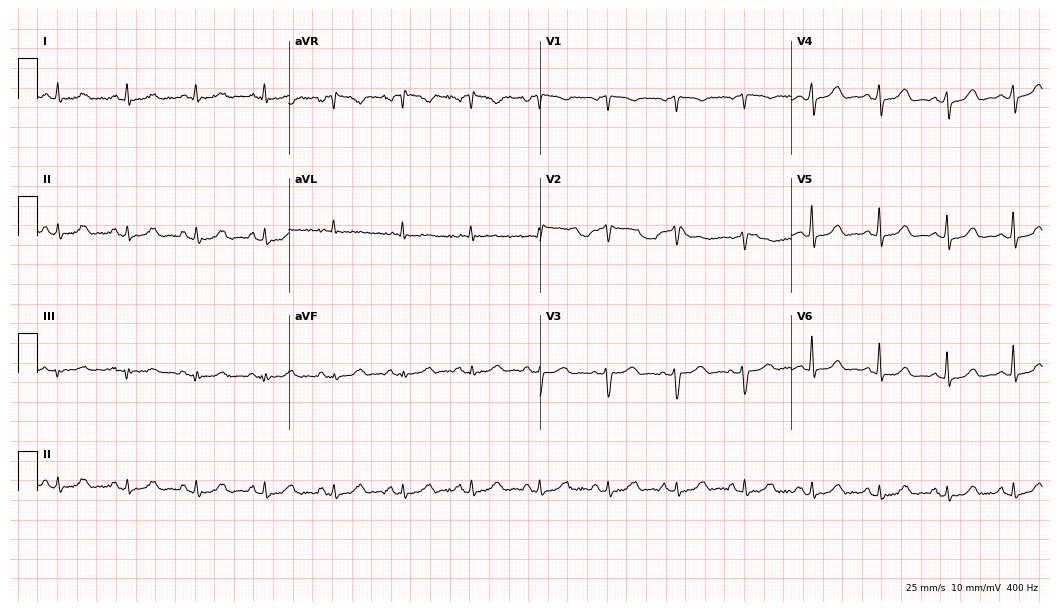
Standard 12-lead ECG recorded from a female patient, 69 years old (10.2-second recording at 400 Hz). Read as a normal ECG.